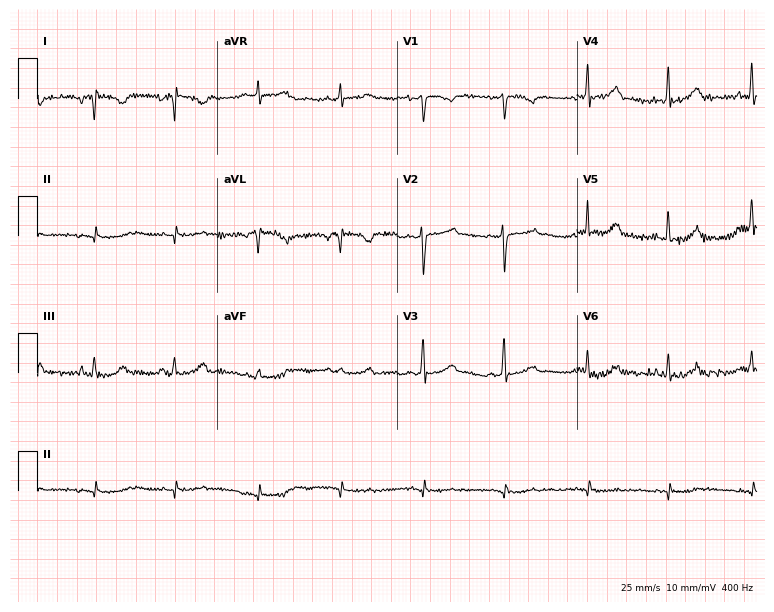
Resting 12-lead electrocardiogram (7.3-second recording at 400 Hz). Patient: a 36-year-old female. None of these six findings is recorded: first-degree AV block, right bundle branch block, left bundle branch block, sinus bradycardia, atrial fibrillation, sinus tachycardia. Other findings, if any, are not listed.